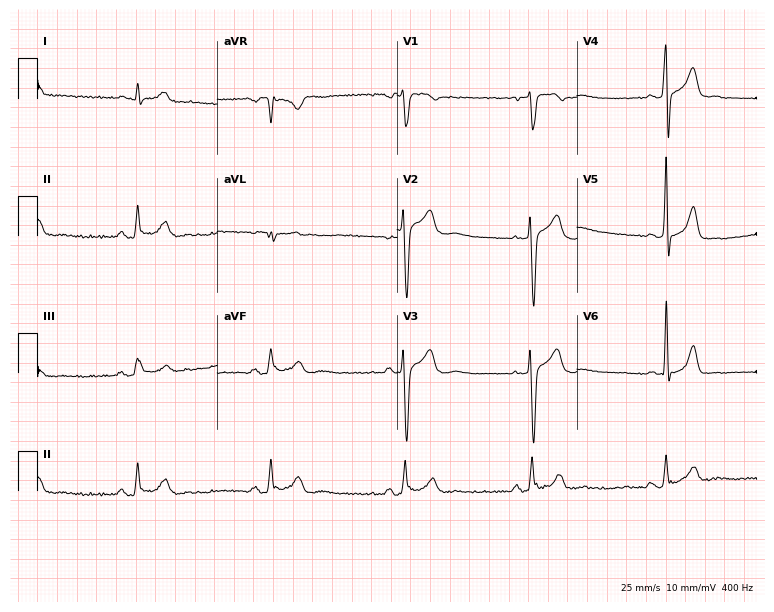
12-lead ECG from a 54-year-old male. Screened for six findings — first-degree AV block, right bundle branch block, left bundle branch block, sinus bradycardia, atrial fibrillation, sinus tachycardia — none is recorded. Findings outside these six are not listed.